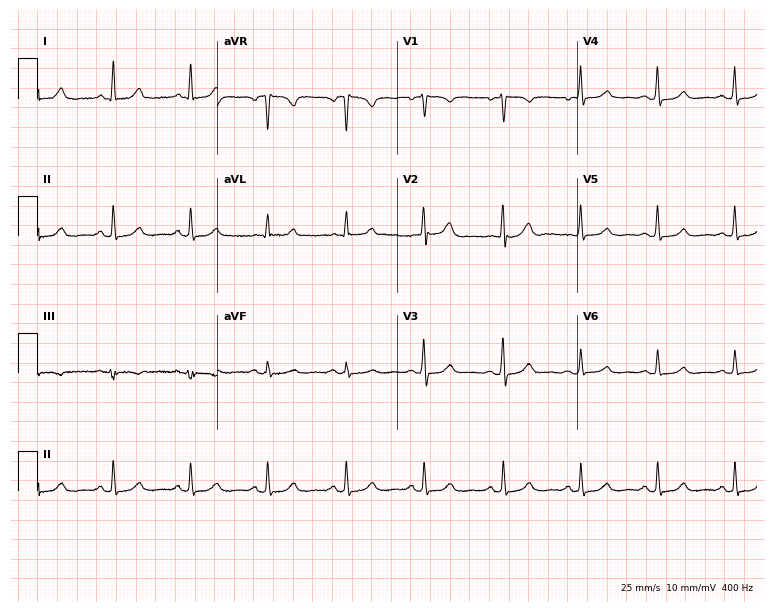
Electrocardiogram (7.3-second recording at 400 Hz), a female patient, 47 years old. Overall reading on record: normal ECG.